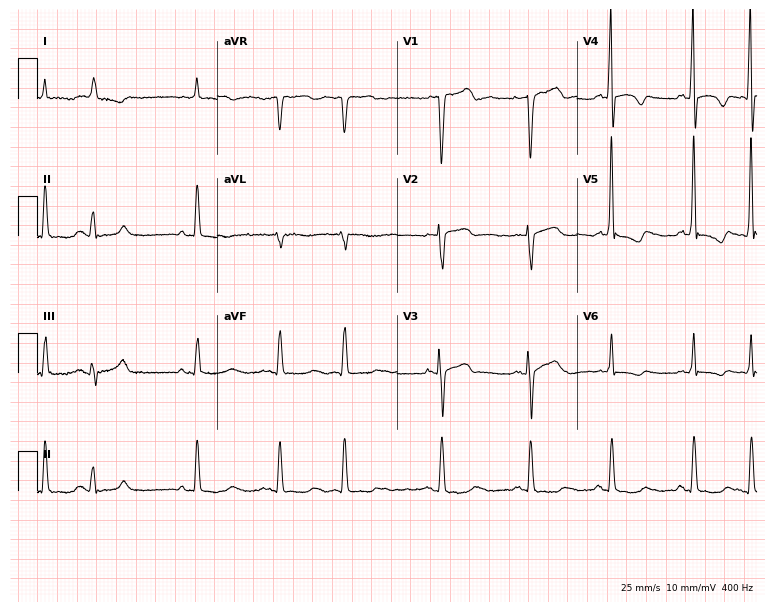
ECG — a male patient, 67 years old. Screened for six findings — first-degree AV block, right bundle branch block, left bundle branch block, sinus bradycardia, atrial fibrillation, sinus tachycardia — none is recorded.